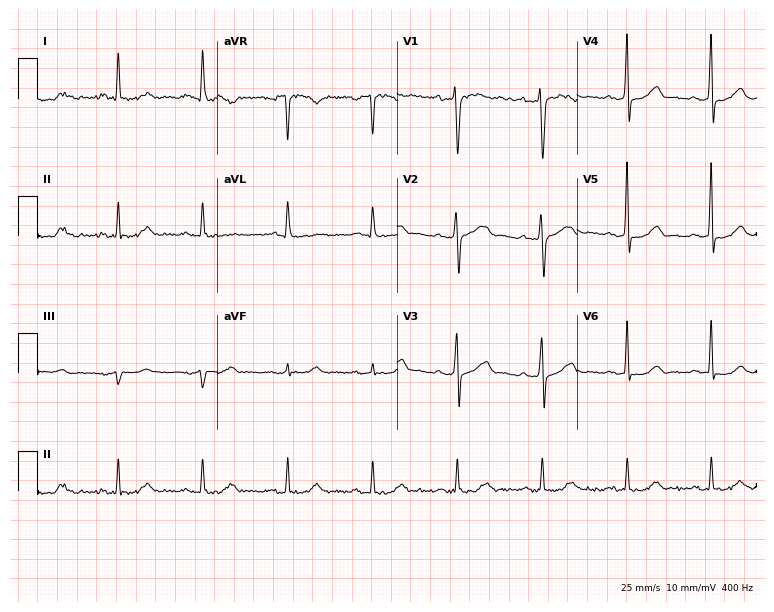
12-lead ECG from a 48-year-old man. Screened for six findings — first-degree AV block, right bundle branch block, left bundle branch block, sinus bradycardia, atrial fibrillation, sinus tachycardia — none is recorded. Only these six findings were labelled.